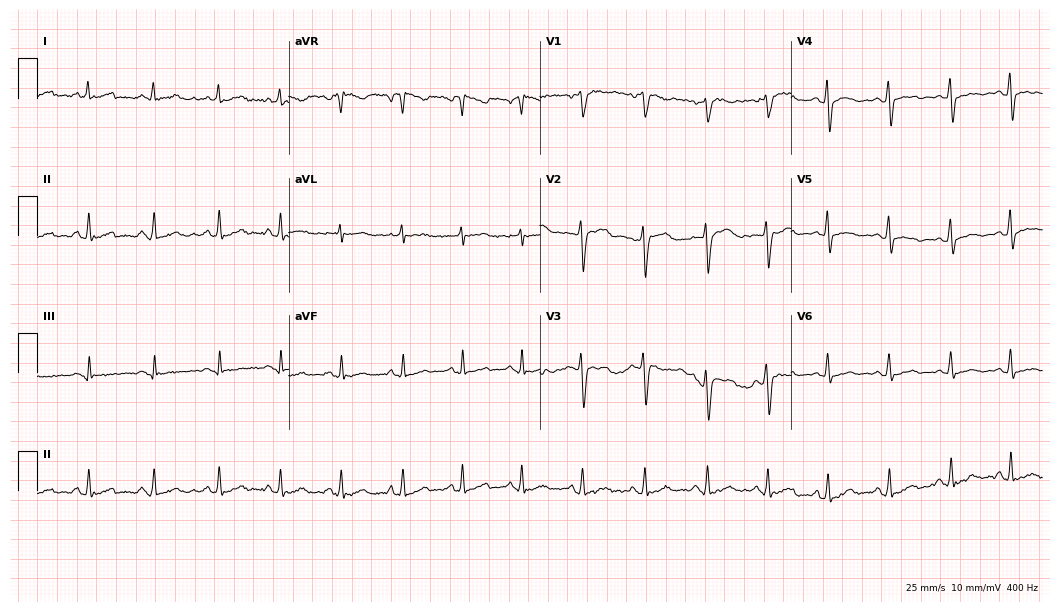
Resting 12-lead electrocardiogram. Patient: a female, 33 years old. Read as a normal ECG.